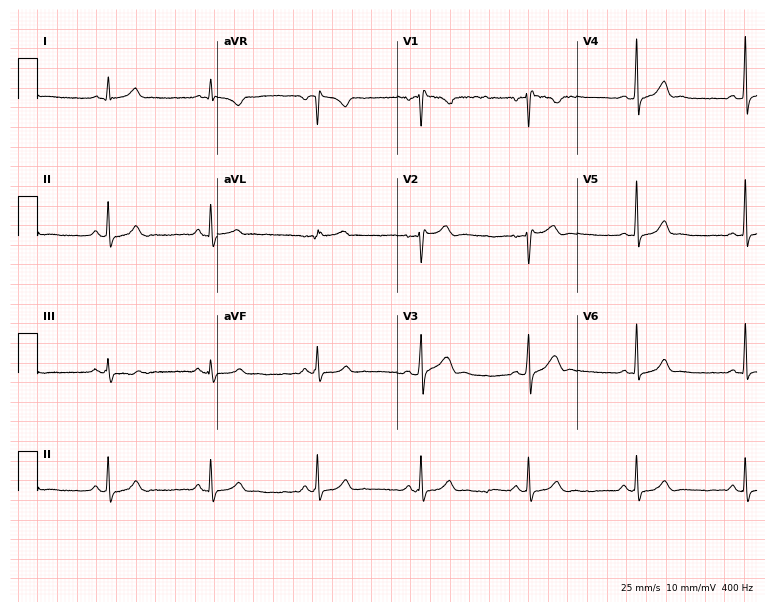
12-lead ECG from a man, 35 years old. Screened for six findings — first-degree AV block, right bundle branch block, left bundle branch block, sinus bradycardia, atrial fibrillation, sinus tachycardia — none is recorded. Other findings, if any, are not listed.